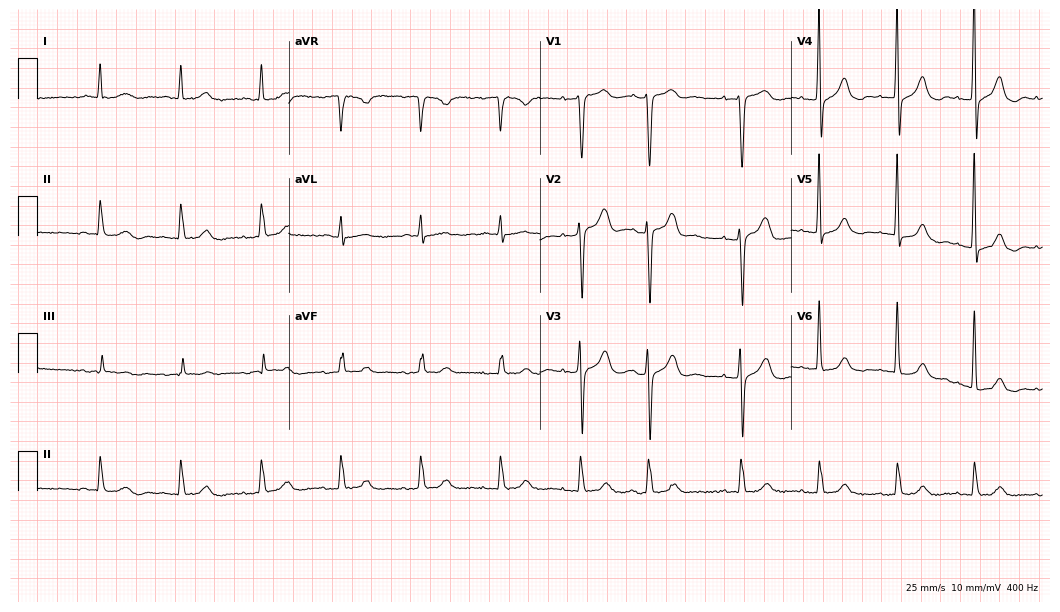
ECG — a female, 80 years old. Screened for six findings — first-degree AV block, right bundle branch block, left bundle branch block, sinus bradycardia, atrial fibrillation, sinus tachycardia — none is recorded. Only these six findings were labelled.